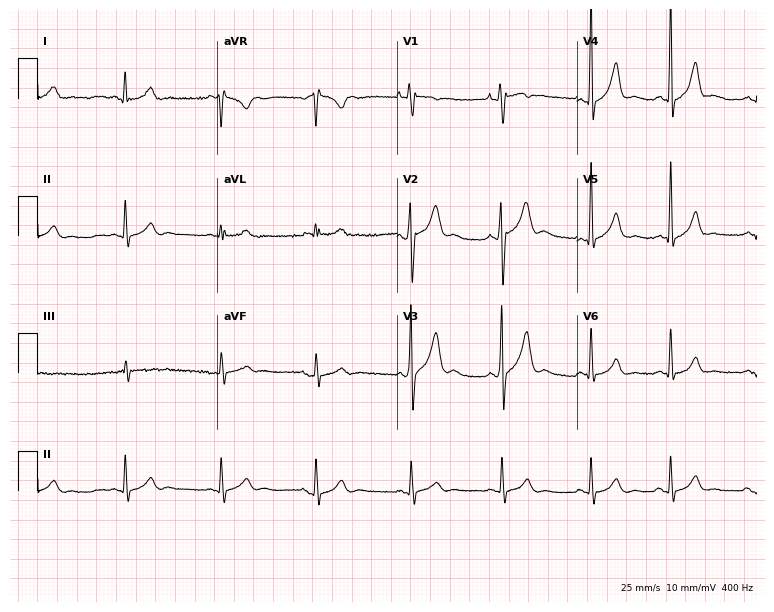
Resting 12-lead electrocardiogram. Patient: a man, 34 years old. None of these six findings is recorded: first-degree AV block, right bundle branch block, left bundle branch block, sinus bradycardia, atrial fibrillation, sinus tachycardia.